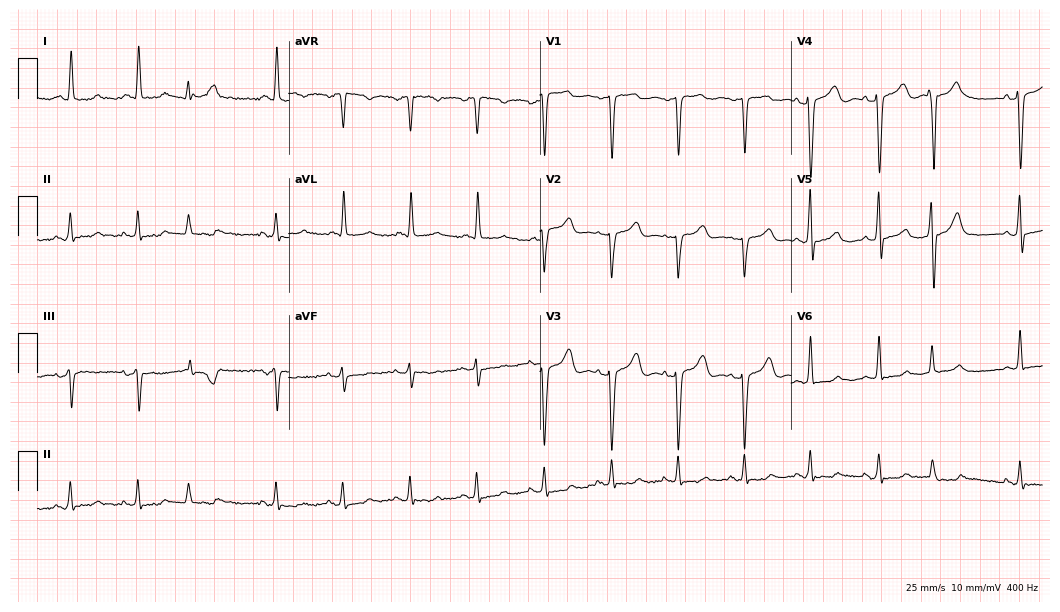
Electrocardiogram (10.2-second recording at 400 Hz), a 75-year-old female patient. Of the six screened findings (first-degree AV block, right bundle branch block, left bundle branch block, sinus bradycardia, atrial fibrillation, sinus tachycardia), none is recorded.